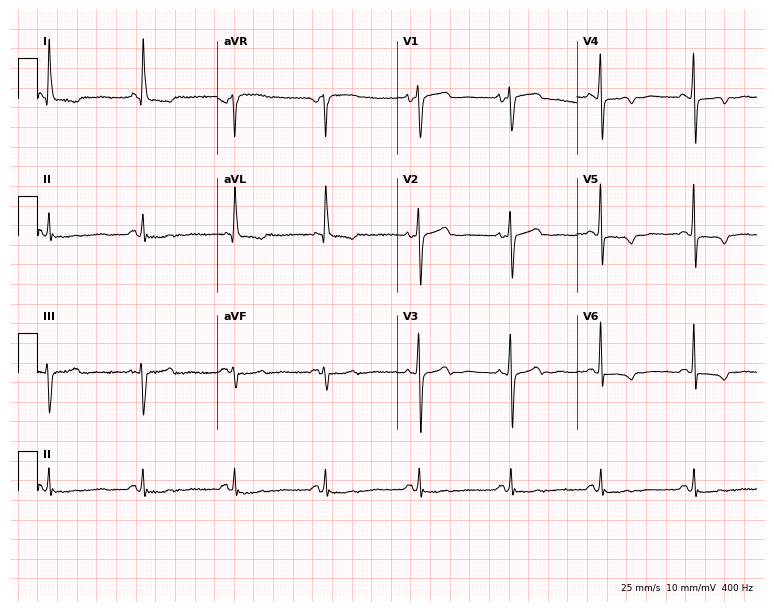
Standard 12-lead ECG recorded from a 75-year-old female (7.3-second recording at 400 Hz). None of these six findings is recorded: first-degree AV block, right bundle branch block (RBBB), left bundle branch block (LBBB), sinus bradycardia, atrial fibrillation (AF), sinus tachycardia.